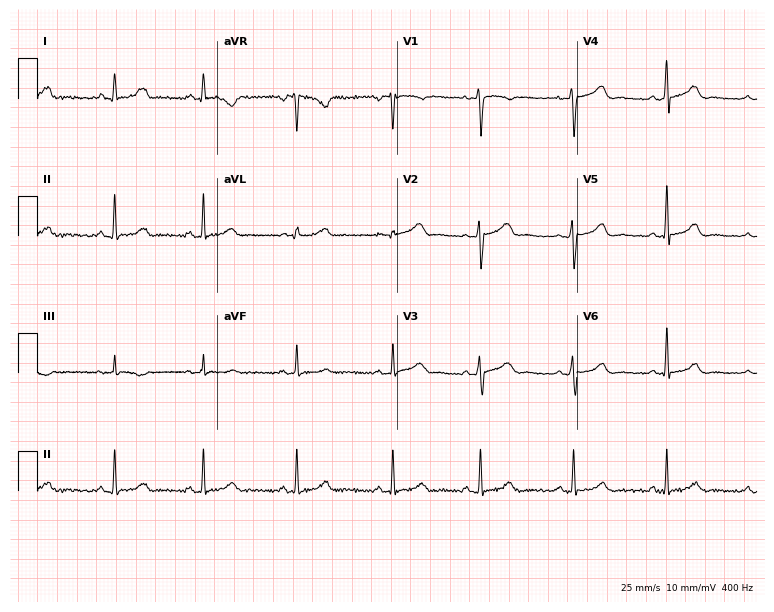
Standard 12-lead ECG recorded from a 39-year-old female (7.3-second recording at 400 Hz). None of these six findings is recorded: first-degree AV block, right bundle branch block (RBBB), left bundle branch block (LBBB), sinus bradycardia, atrial fibrillation (AF), sinus tachycardia. Other findings, if any, are not listed.